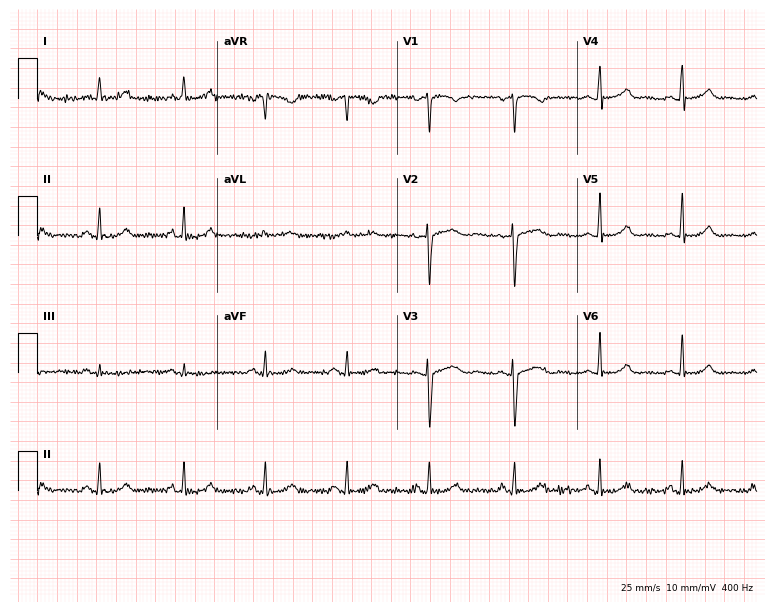
Resting 12-lead electrocardiogram (7.3-second recording at 400 Hz). Patient: a 40-year-old woman. Read as a normal ECG.